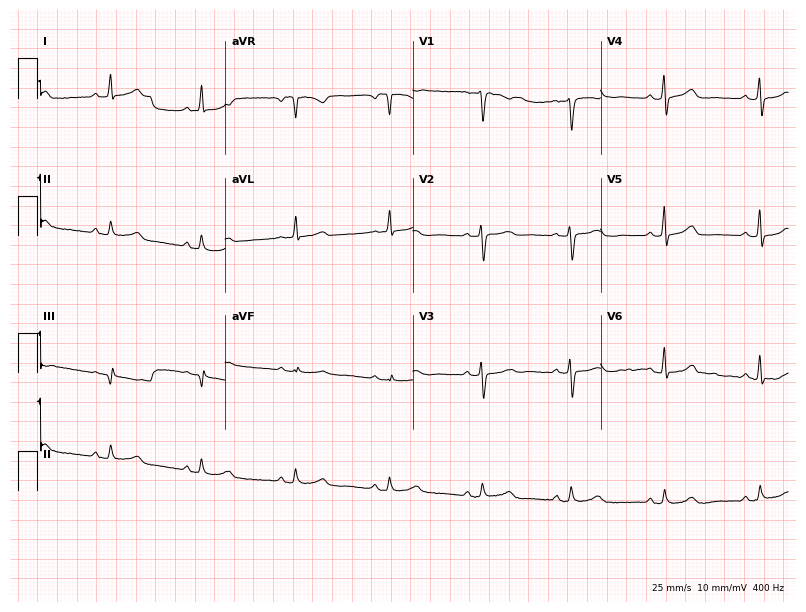
12-lead ECG from a 17-year-old female patient. Labelled as a normal ECG.